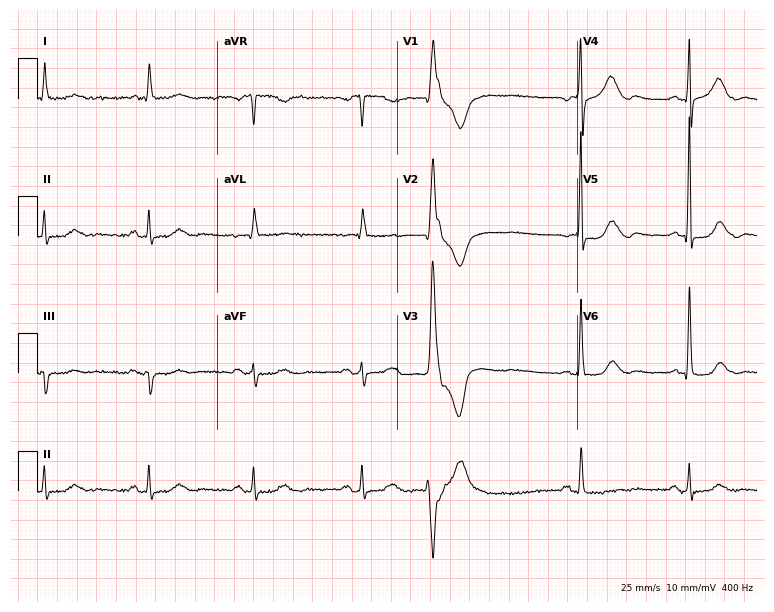
Resting 12-lead electrocardiogram (7.3-second recording at 400 Hz). Patient: a male, 73 years old. None of these six findings is recorded: first-degree AV block, right bundle branch block (RBBB), left bundle branch block (LBBB), sinus bradycardia, atrial fibrillation (AF), sinus tachycardia. Other findings, if any, are not listed.